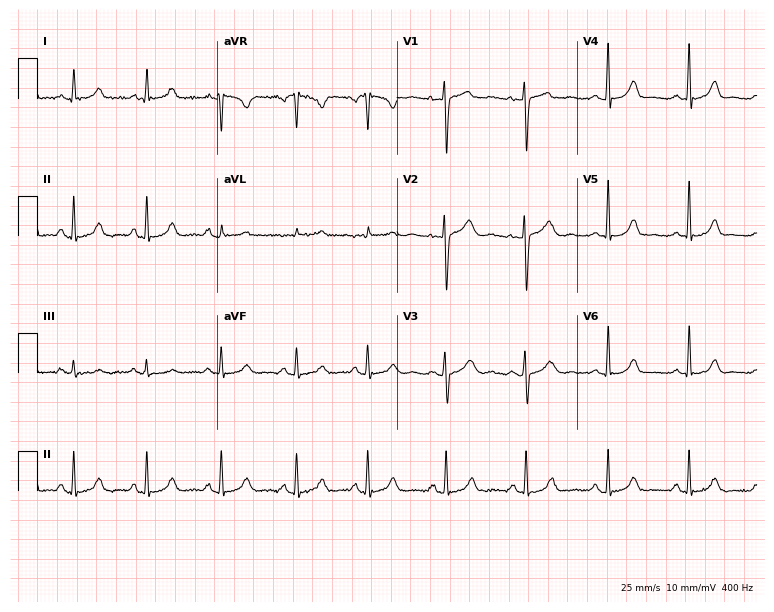
Resting 12-lead electrocardiogram. Patient: a female, 19 years old. Read as a normal ECG.